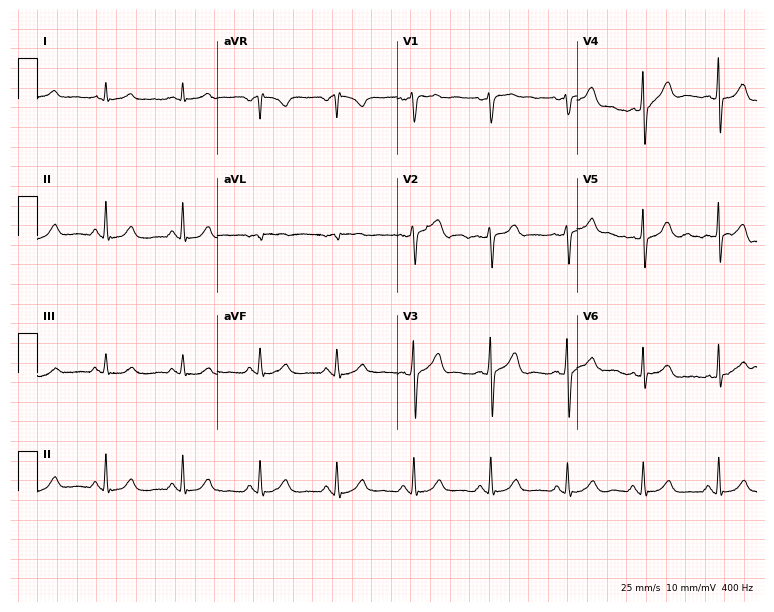
12-lead ECG from a male patient, 46 years old (7.3-second recording at 400 Hz). No first-degree AV block, right bundle branch block (RBBB), left bundle branch block (LBBB), sinus bradycardia, atrial fibrillation (AF) or sinus tachycardia recorded for this tracing. Only these six findings were labelled.